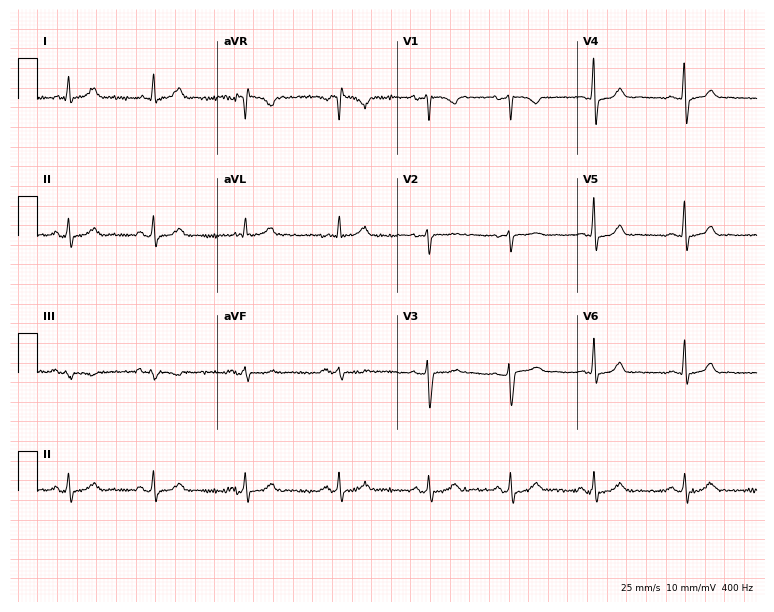
Resting 12-lead electrocardiogram. Patient: a female, 36 years old. Read as a normal ECG.